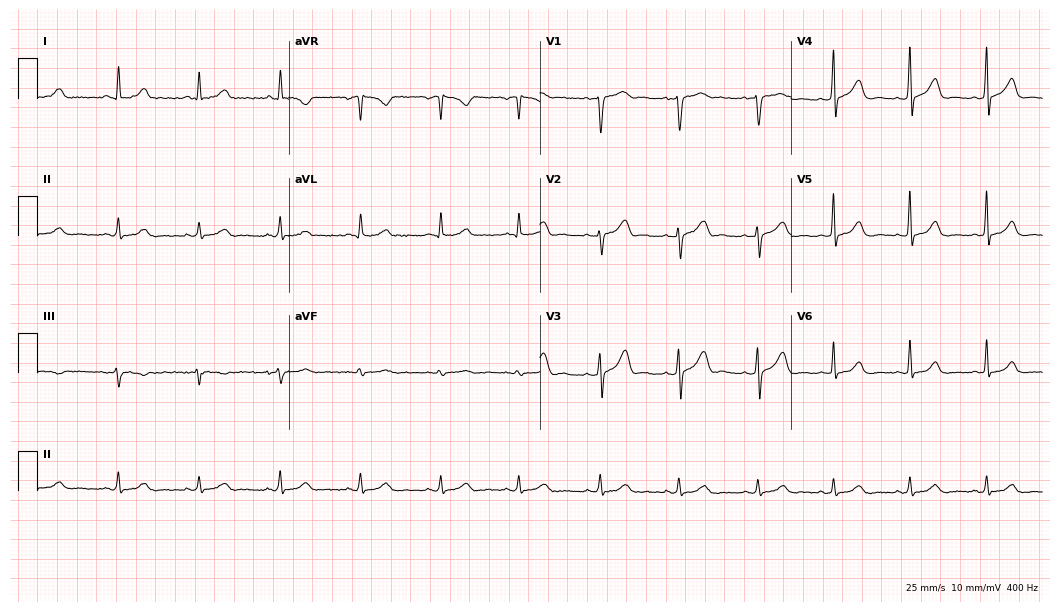
12-lead ECG (10.2-second recording at 400 Hz) from a 45-year-old female patient. Screened for six findings — first-degree AV block, right bundle branch block, left bundle branch block, sinus bradycardia, atrial fibrillation, sinus tachycardia — none is recorded.